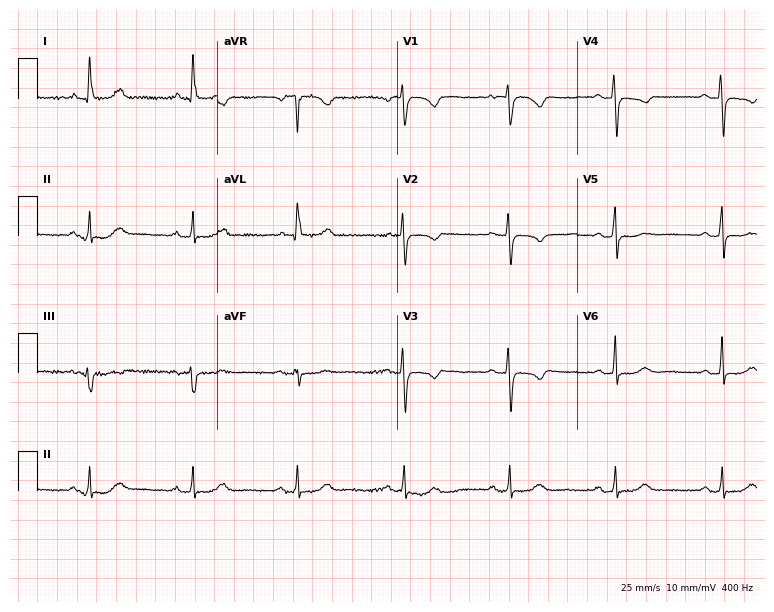
ECG — a woman, 64 years old. Screened for six findings — first-degree AV block, right bundle branch block, left bundle branch block, sinus bradycardia, atrial fibrillation, sinus tachycardia — none is recorded.